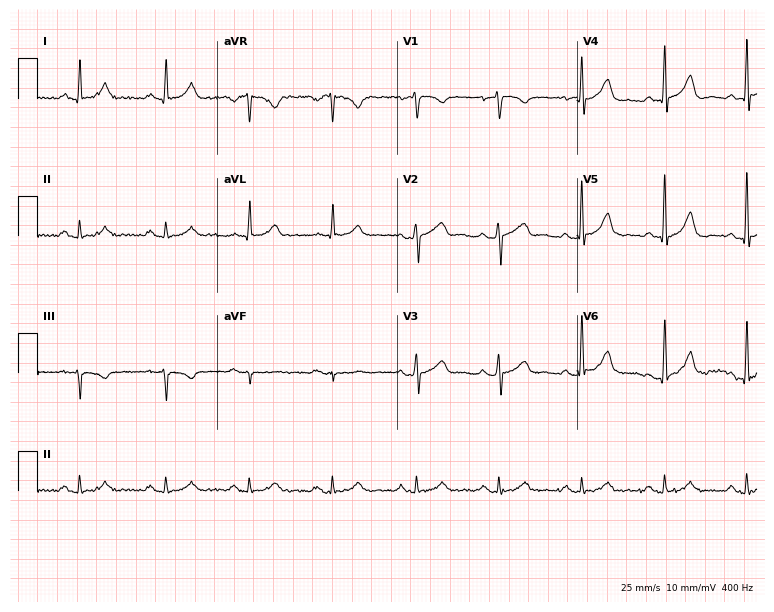
12-lead ECG (7.3-second recording at 400 Hz) from a 54-year-old male. Screened for six findings — first-degree AV block, right bundle branch block, left bundle branch block, sinus bradycardia, atrial fibrillation, sinus tachycardia — none is recorded.